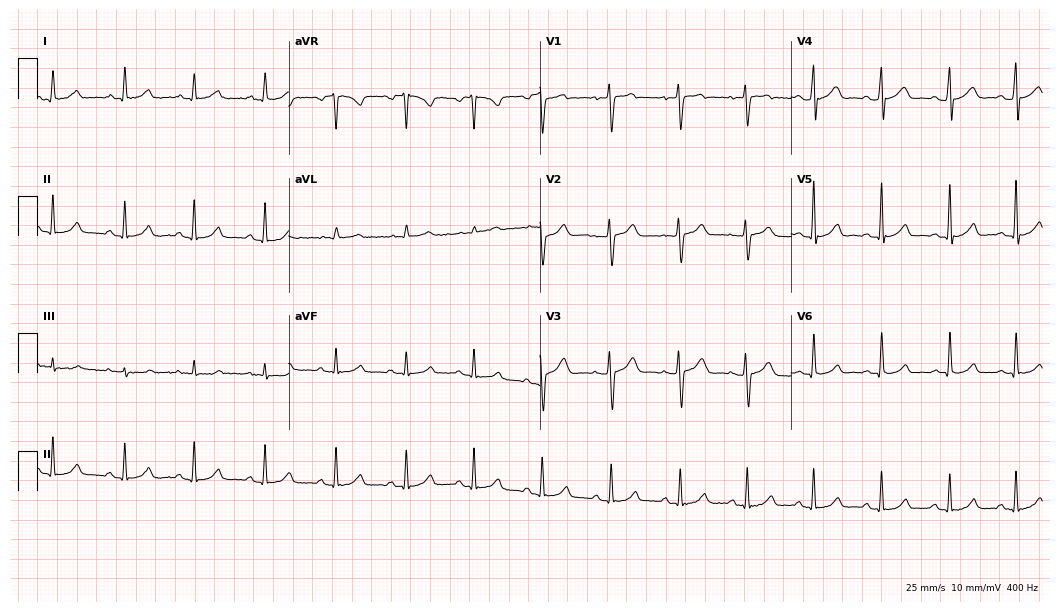
Standard 12-lead ECG recorded from a woman, 32 years old (10.2-second recording at 400 Hz). Read as a normal ECG.